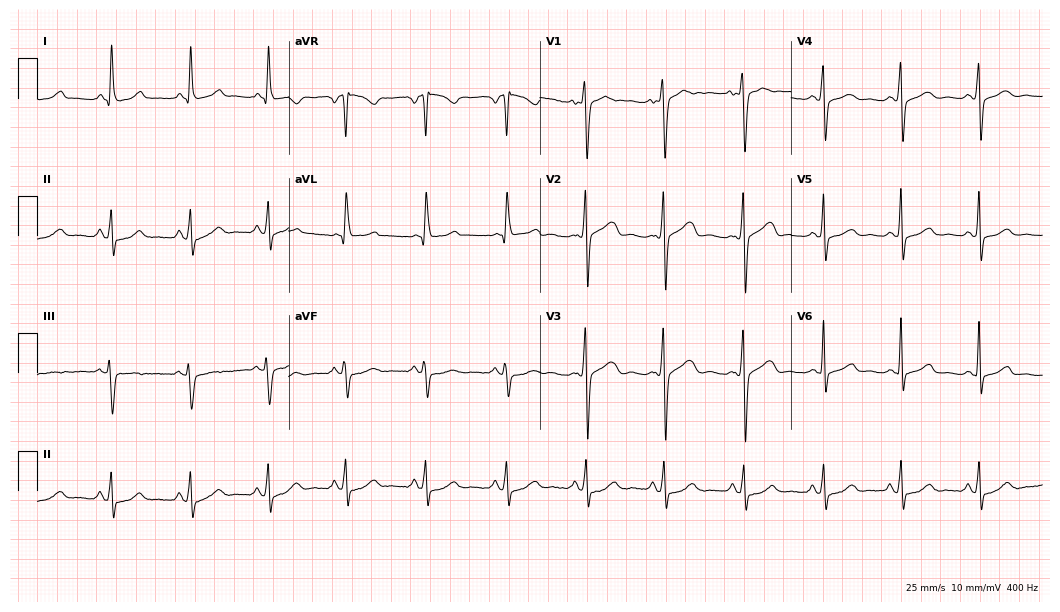
ECG (10.2-second recording at 400 Hz) — a woman, 44 years old. Labelled as a normal ECG.